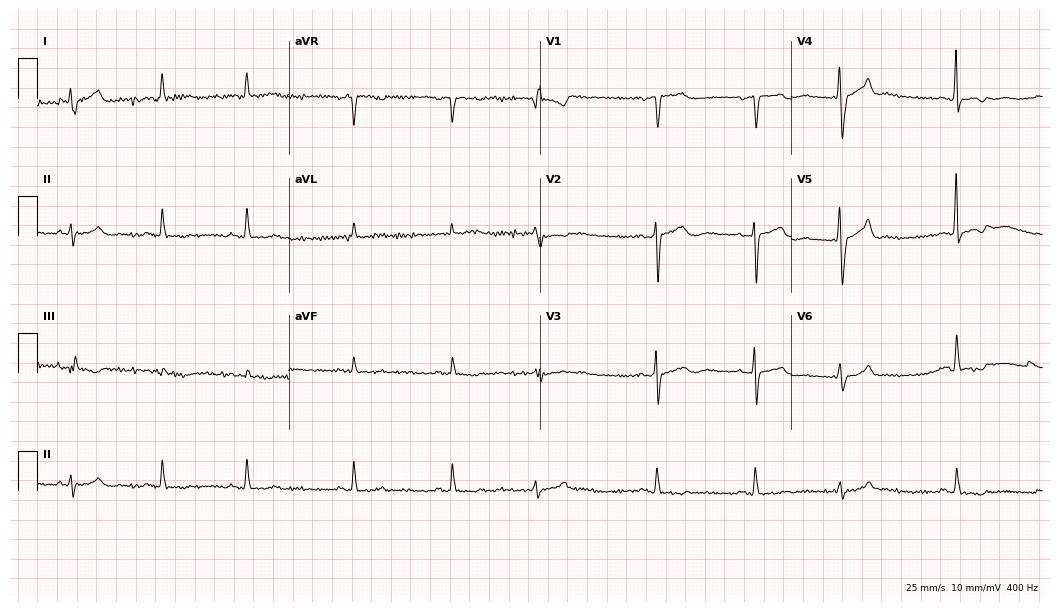
12-lead ECG (10.2-second recording at 400 Hz) from a female patient, 82 years old. Screened for six findings — first-degree AV block, right bundle branch block, left bundle branch block, sinus bradycardia, atrial fibrillation, sinus tachycardia — none is recorded. Other findings, if any, are not listed.